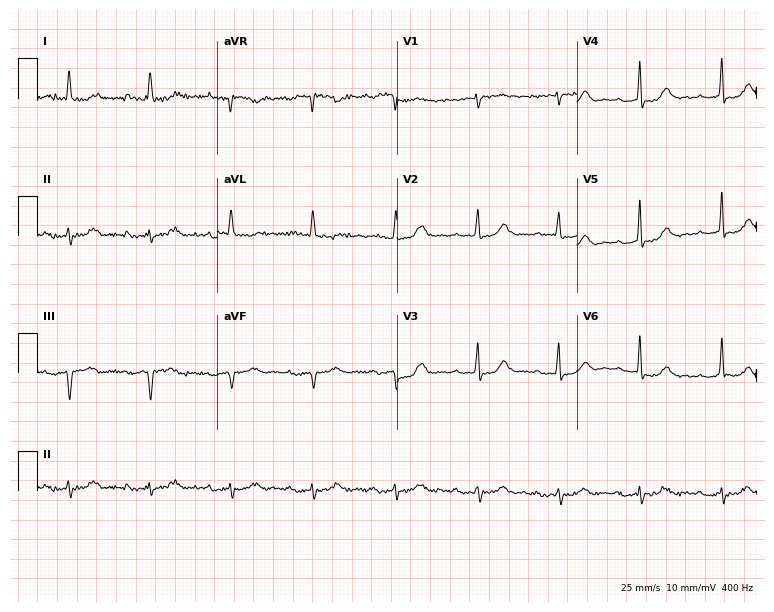
12-lead ECG from a 62-year-old woman. Shows first-degree AV block.